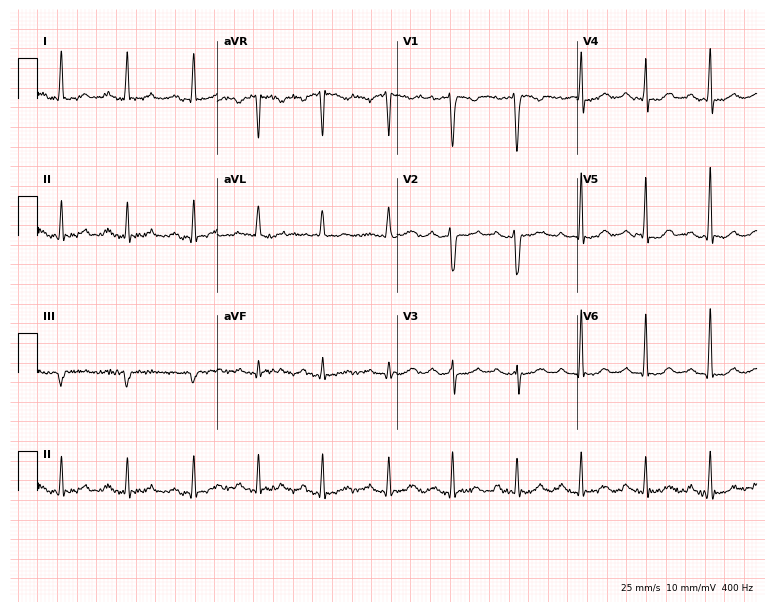
ECG (7.3-second recording at 400 Hz) — a 30-year-old female. Labelled as a normal ECG.